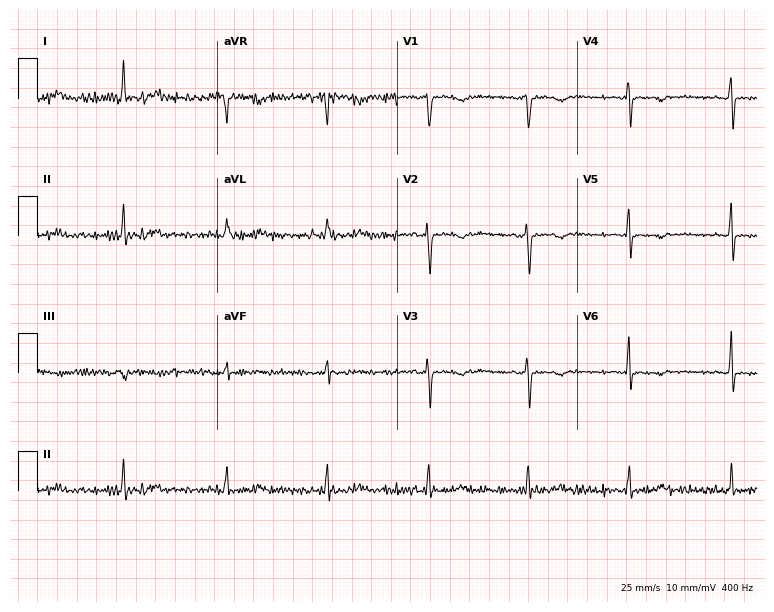
Standard 12-lead ECG recorded from a 46-year-old female patient (7.3-second recording at 400 Hz). None of these six findings is recorded: first-degree AV block, right bundle branch block, left bundle branch block, sinus bradycardia, atrial fibrillation, sinus tachycardia.